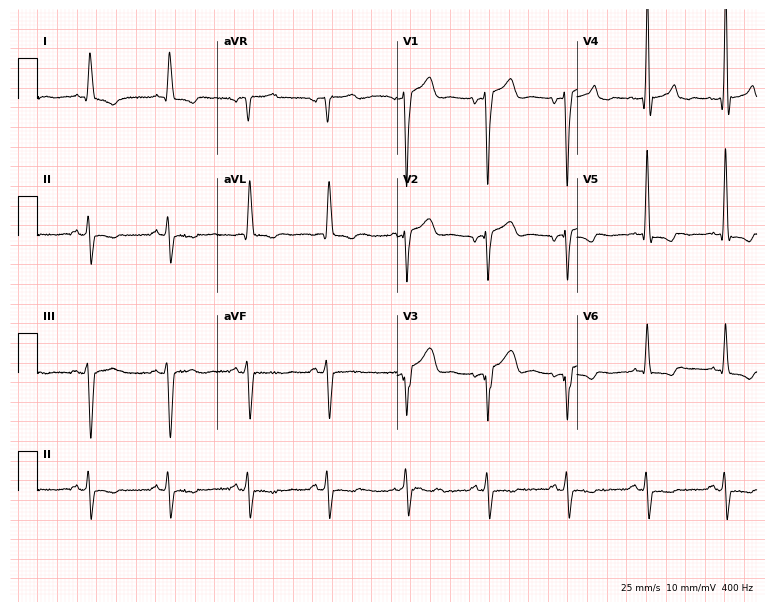
12-lead ECG from a man, 70 years old (7.3-second recording at 400 Hz). No first-degree AV block, right bundle branch block, left bundle branch block, sinus bradycardia, atrial fibrillation or sinus tachycardia recorded for this tracing. Findings outside these six are not listed.